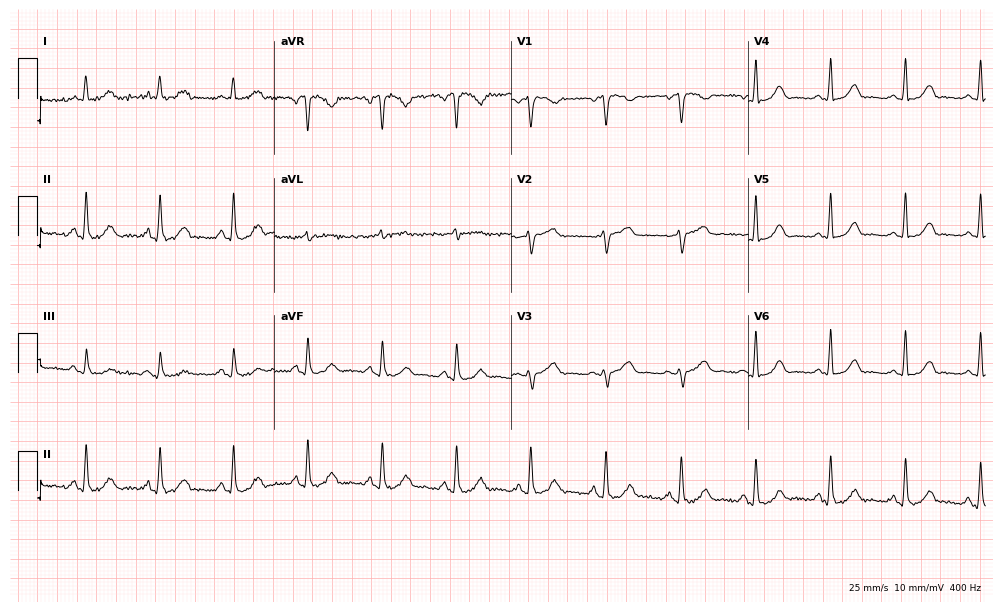
Standard 12-lead ECG recorded from a female patient, 56 years old (9.7-second recording at 400 Hz). Read as a normal ECG.